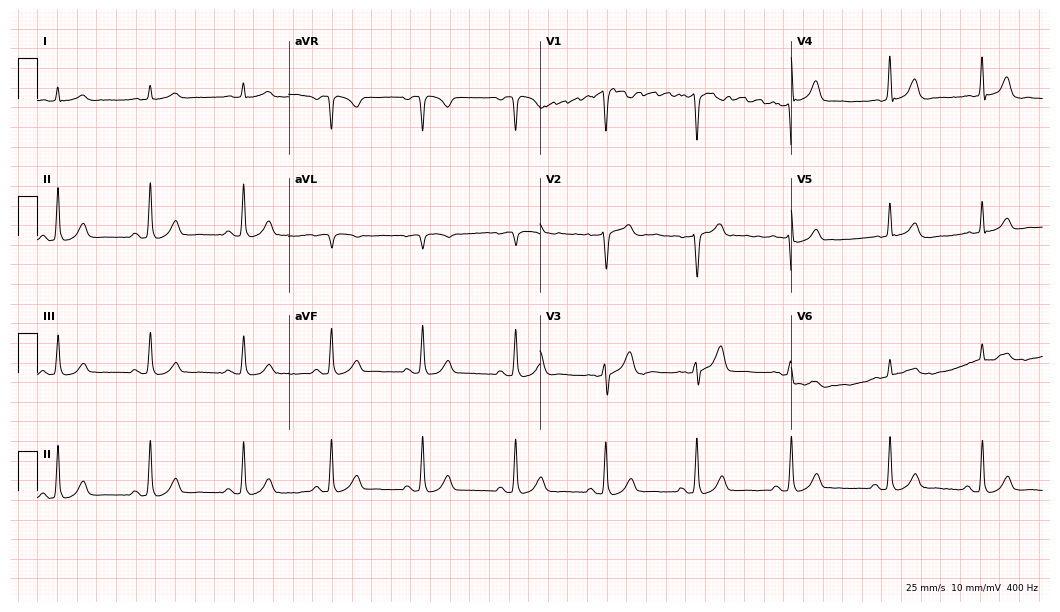
Resting 12-lead electrocardiogram. Patient: a man, 62 years old. None of these six findings is recorded: first-degree AV block, right bundle branch block, left bundle branch block, sinus bradycardia, atrial fibrillation, sinus tachycardia.